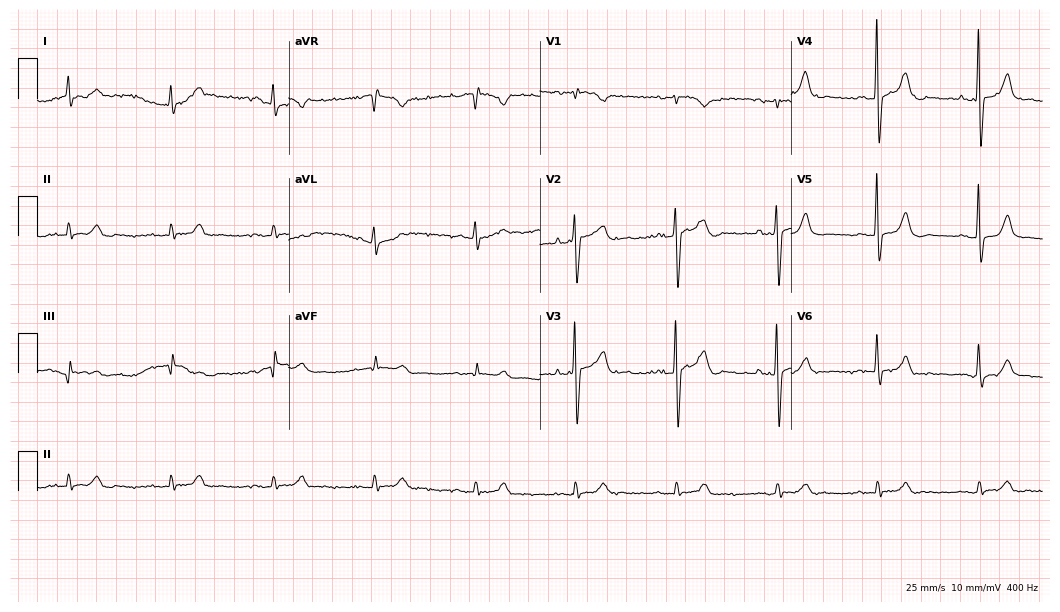
Standard 12-lead ECG recorded from a 77-year-old woman. None of these six findings is recorded: first-degree AV block, right bundle branch block (RBBB), left bundle branch block (LBBB), sinus bradycardia, atrial fibrillation (AF), sinus tachycardia. Findings outside these six are not listed.